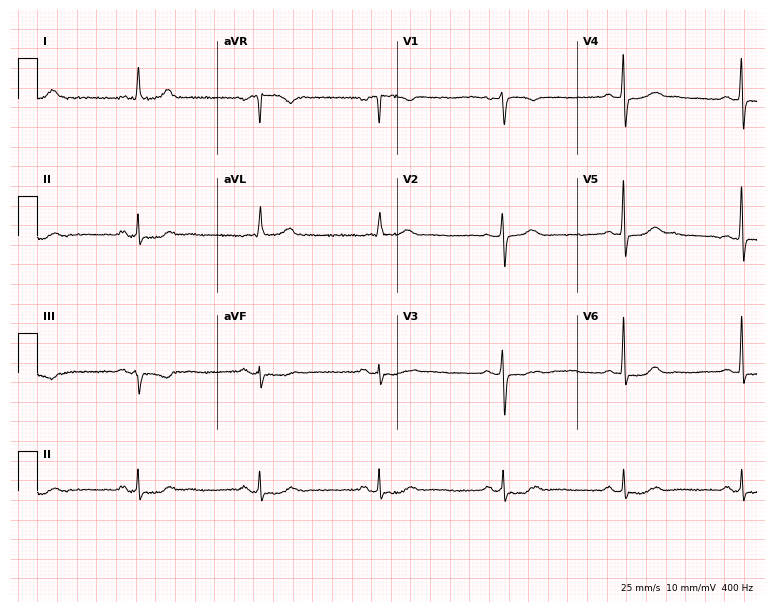
12-lead ECG from a female, 58 years old. Screened for six findings — first-degree AV block, right bundle branch block (RBBB), left bundle branch block (LBBB), sinus bradycardia, atrial fibrillation (AF), sinus tachycardia — none is recorded.